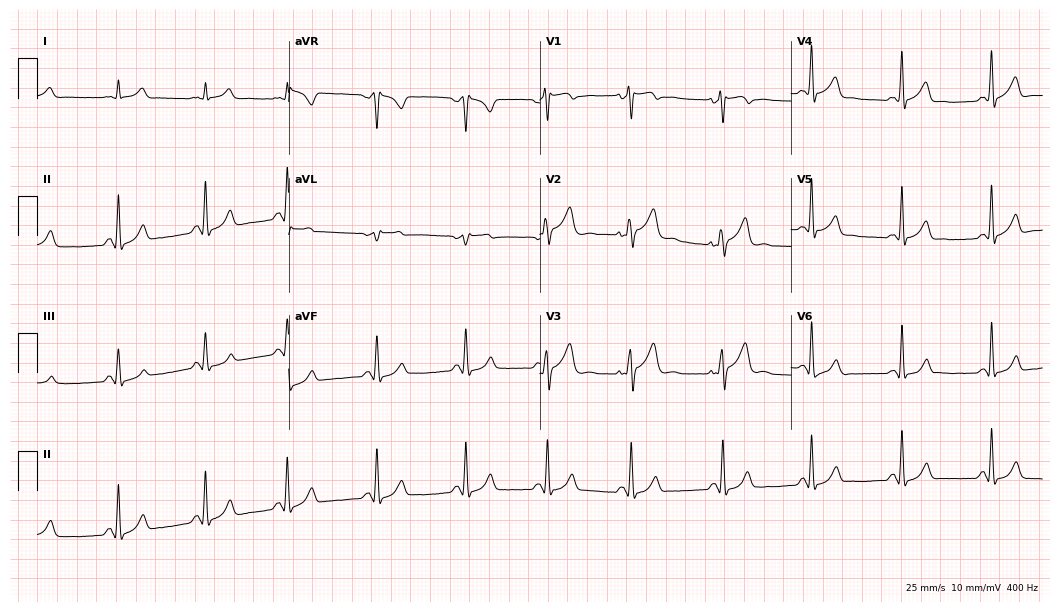
Resting 12-lead electrocardiogram (10.2-second recording at 400 Hz). Patient: a 27-year-old male. None of these six findings is recorded: first-degree AV block, right bundle branch block, left bundle branch block, sinus bradycardia, atrial fibrillation, sinus tachycardia.